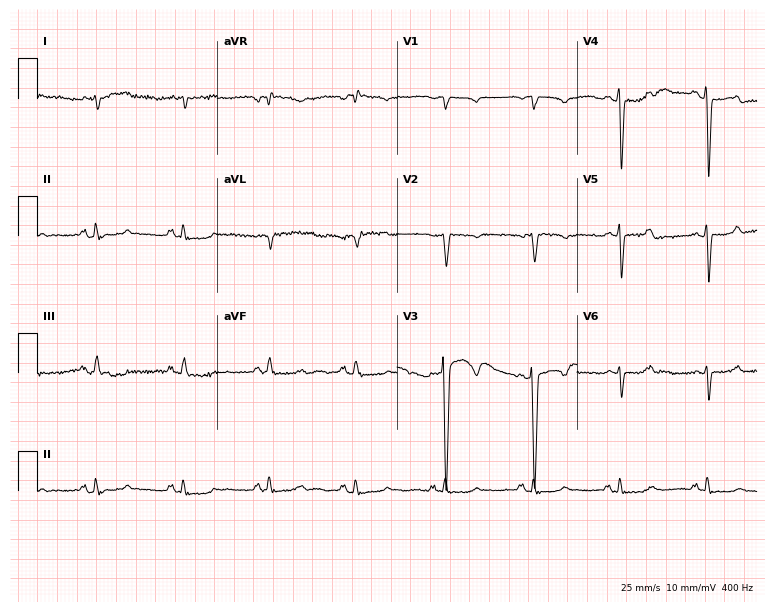
ECG (7.3-second recording at 400 Hz) — an 80-year-old man. Screened for six findings — first-degree AV block, right bundle branch block, left bundle branch block, sinus bradycardia, atrial fibrillation, sinus tachycardia — none is recorded.